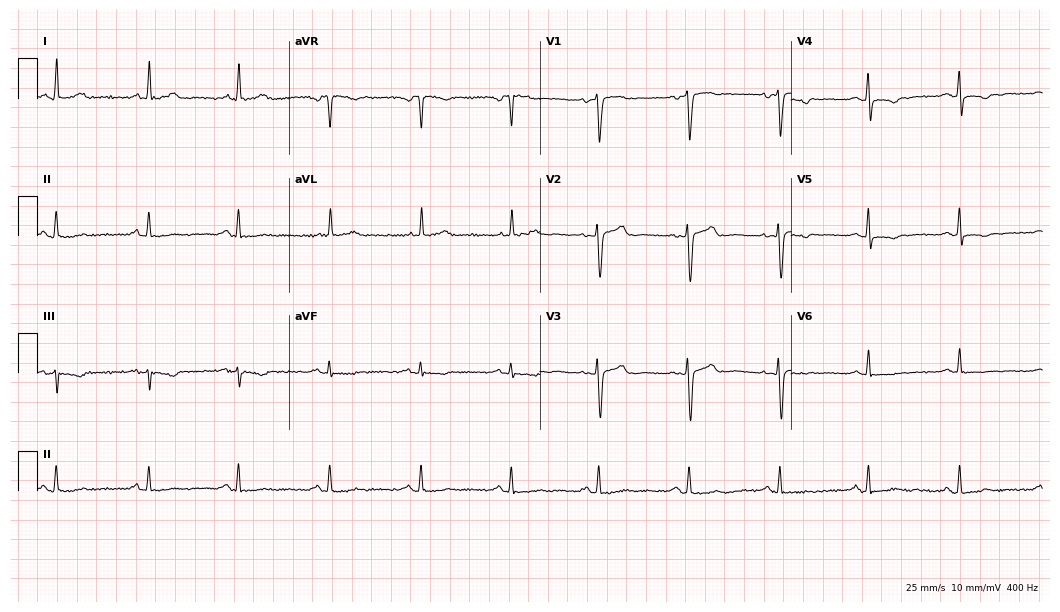
Resting 12-lead electrocardiogram (10.2-second recording at 400 Hz). Patient: a woman, 37 years old. None of these six findings is recorded: first-degree AV block, right bundle branch block, left bundle branch block, sinus bradycardia, atrial fibrillation, sinus tachycardia. Only these six findings were labelled.